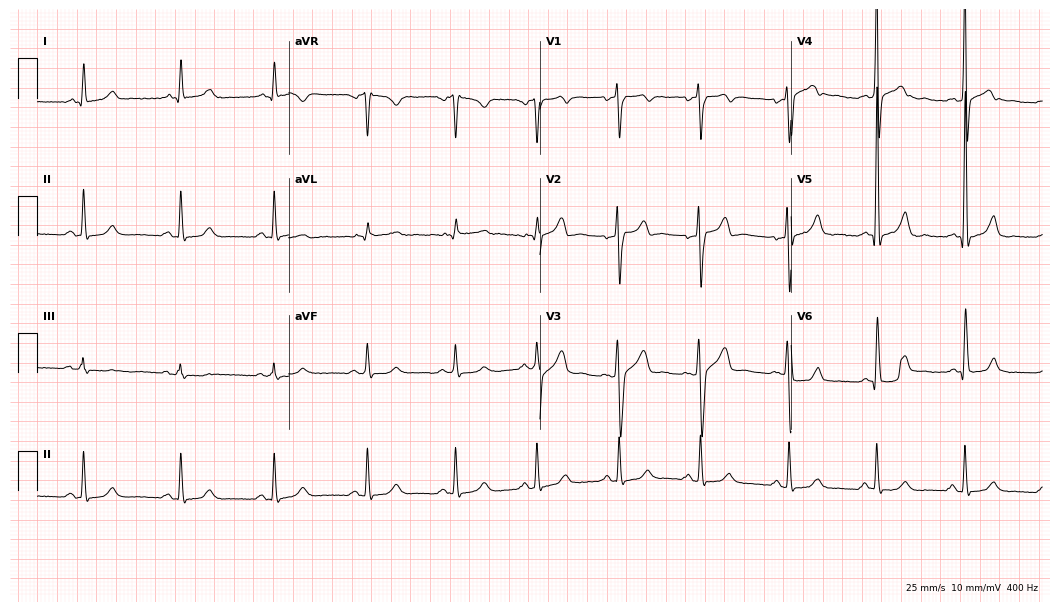
ECG — a male patient, 38 years old. Labelled as a normal ECG.